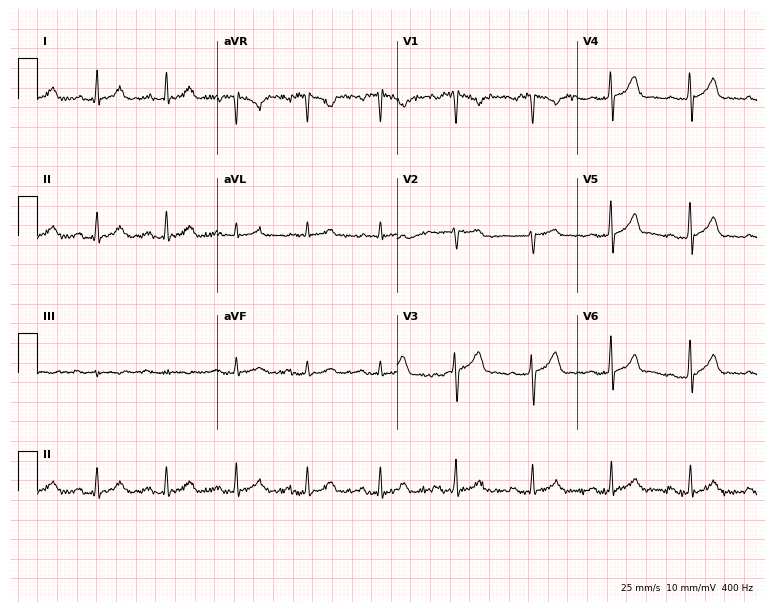
Resting 12-lead electrocardiogram (7.3-second recording at 400 Hz). Patient: a 67-year-old male. Read as a normal ECG.